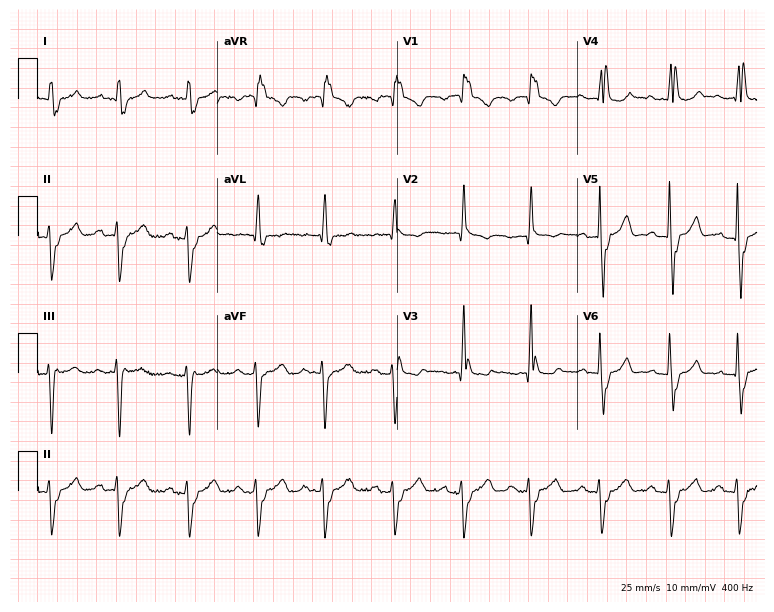
ECG — a 77-year-old man. Findings include right bundle branch block.